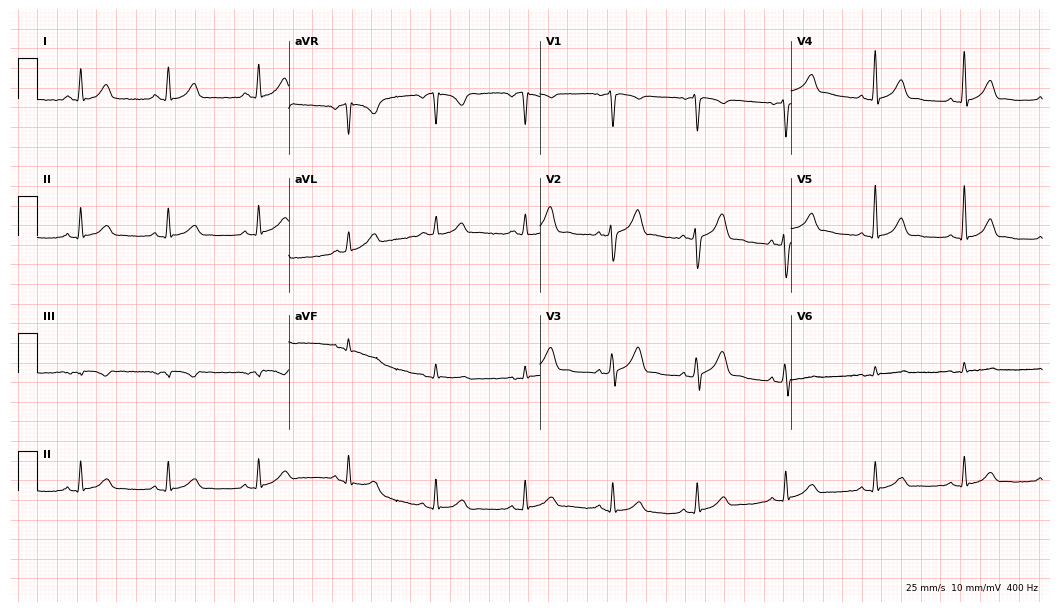
Standard 12-lead ECG recorded from a 33-year-old male patient (10.2-second recording at 400 Hz). Read as a normal ECG.